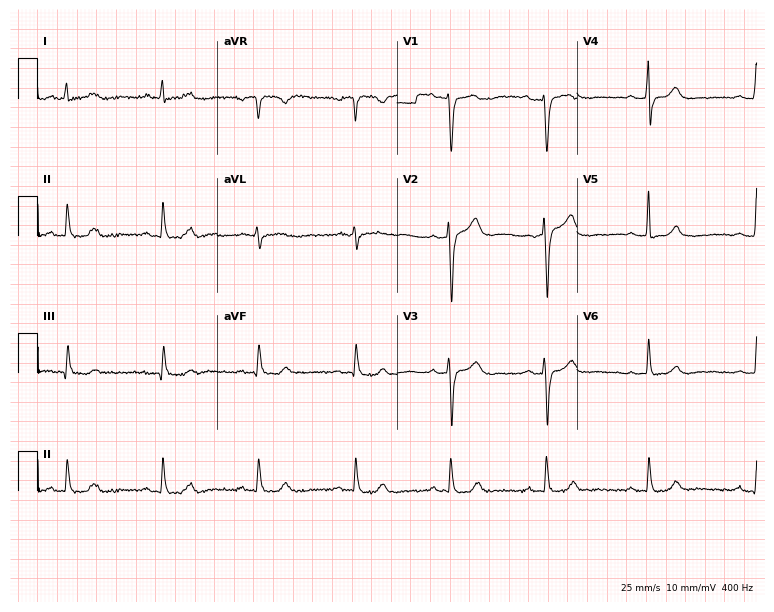
ECG — a female patient, 48 years old. Labelled as a normal ECG.